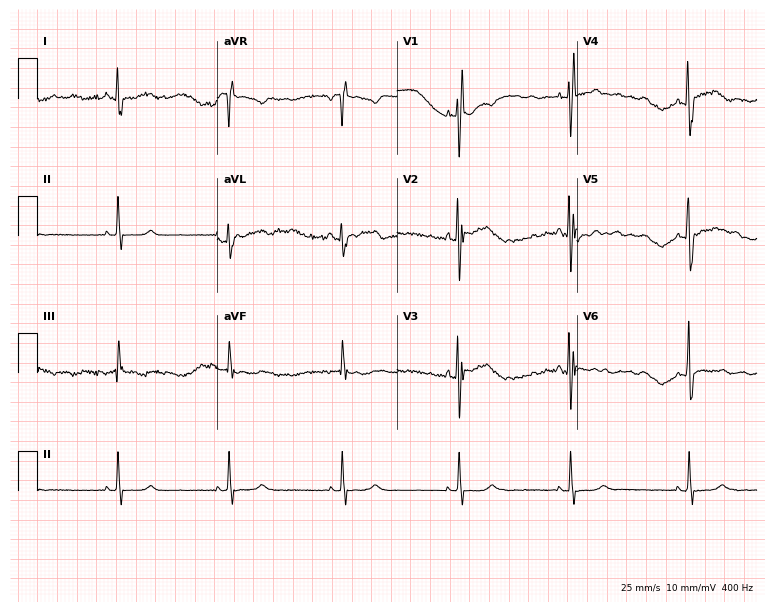
12-lead ECG from a male patient, 24 years old. Recorded interpretation: within normal limits.